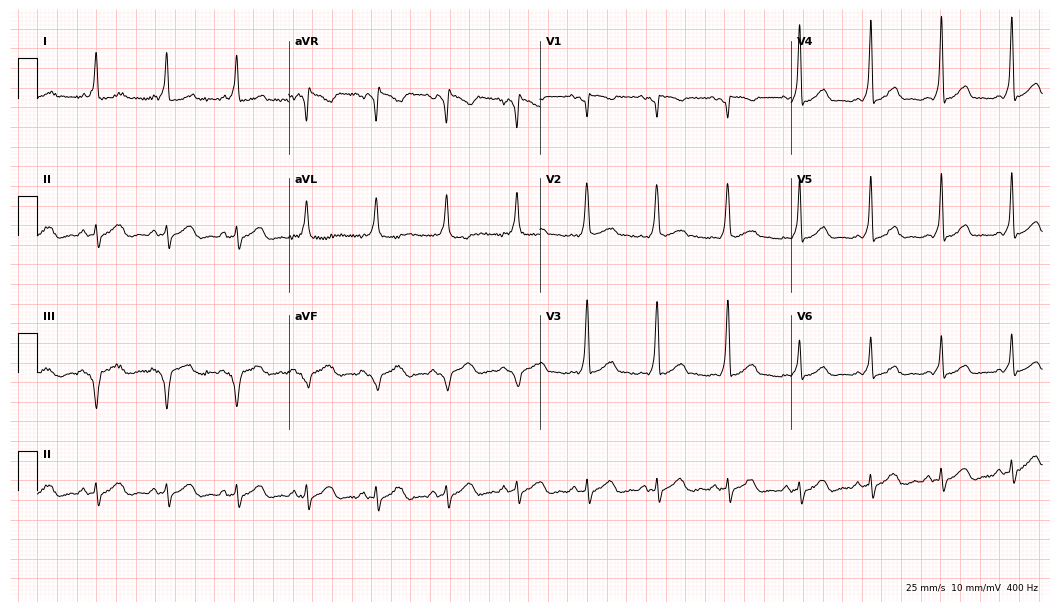
12-lead ECG (10.2-second recording at 400 Hz) from a female patient, 31 years old. Screened for six findings — first-degree AV block, right bundle branch block (RBBB), left bundle branch block (LBBB), sinus bradycardia, atrial fibrillation (AF), sinus tachycardia — none is recorded. Only these six findings were labelled.